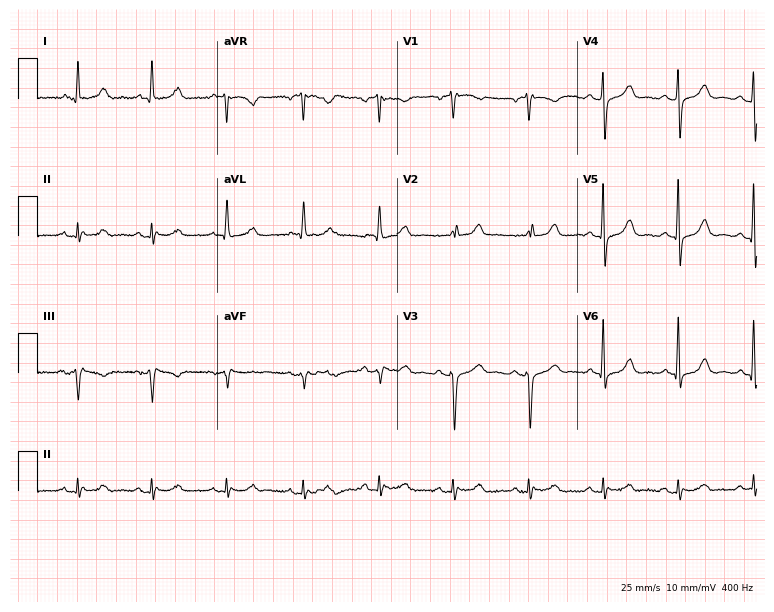
12-lead ECG from a 74-year-old male. Labelled as a normal ECG.